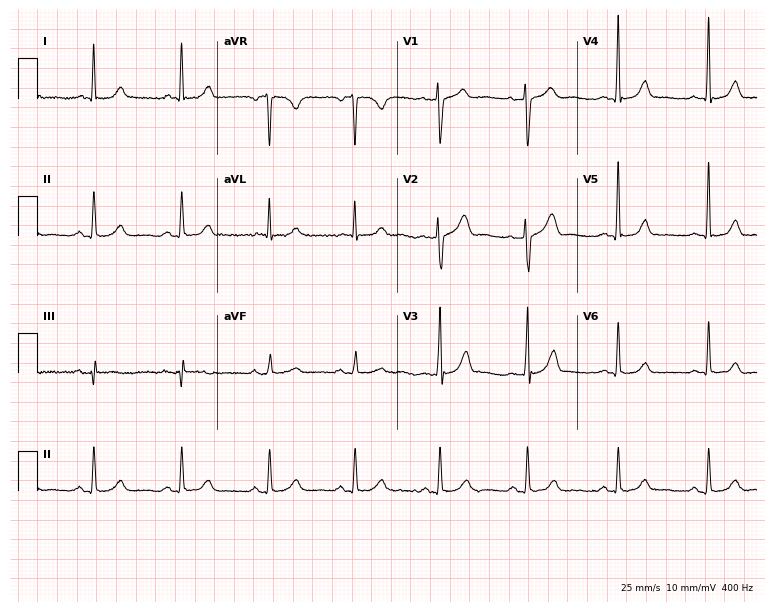
12-lead ECG (7.3-second recording at 400 Hz) from a 48-year-old female patient. Screened for six findings — first-degree AV block, right bundle branch block, left bundle branch block, sinus bradycardia, atrial fibrillation, sinus tachycardia — none is recorded. Other findings, if any, are not listed.